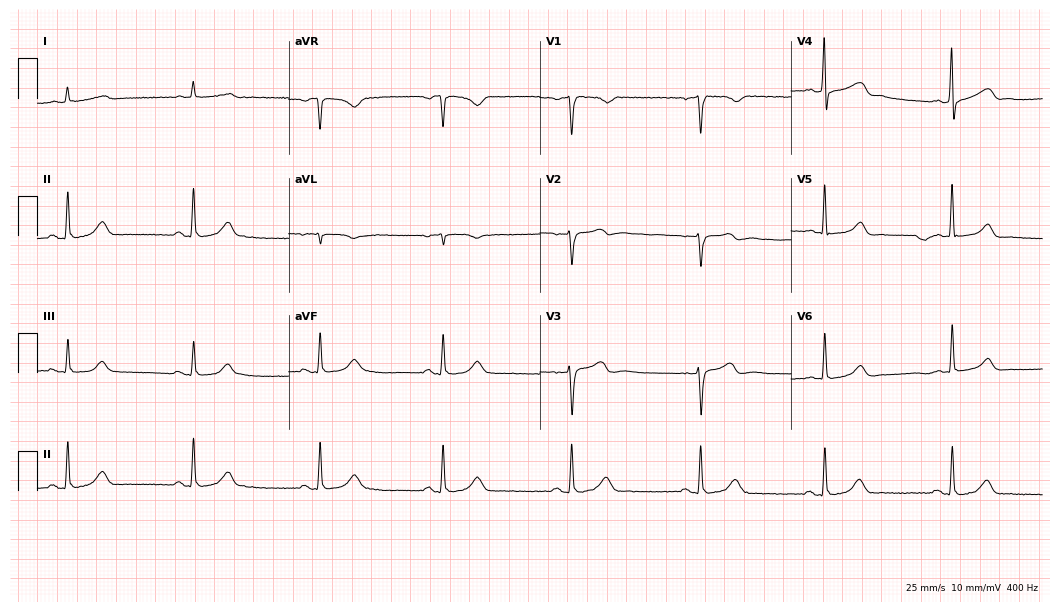
ECG — a 53-year-old male patient. Screened for six findings — first-degree AV block, right bundle branch block, left bundle branch block, sinus bradycardia, atrial fibrillation, sinus tachycardia — none is recorded.